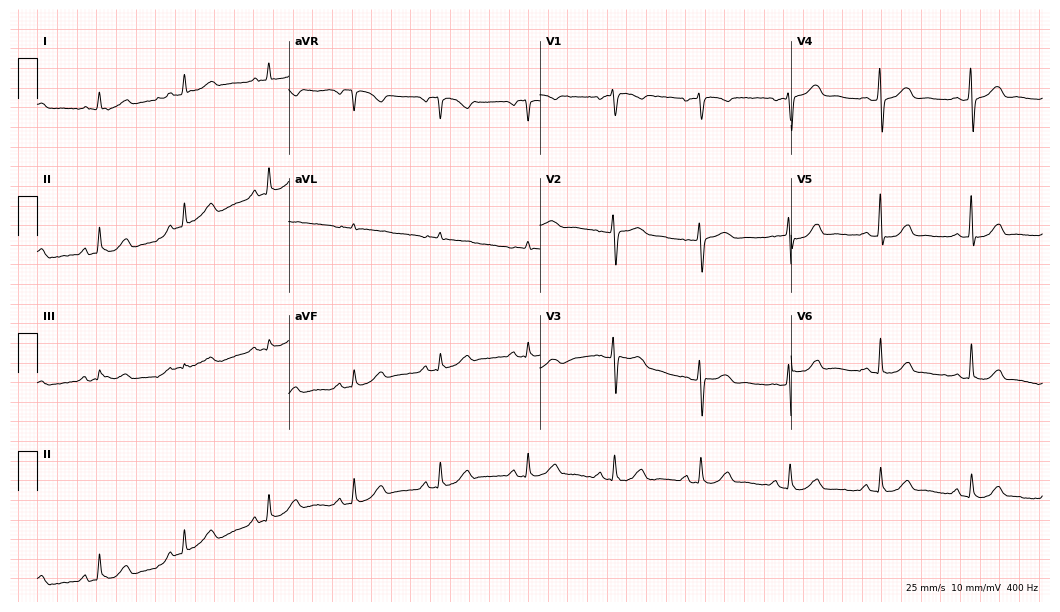
12-lead ECG from a female, 51 years old (10.2-second recording at 400 Hz). Recorded interpretation: within normal limits.